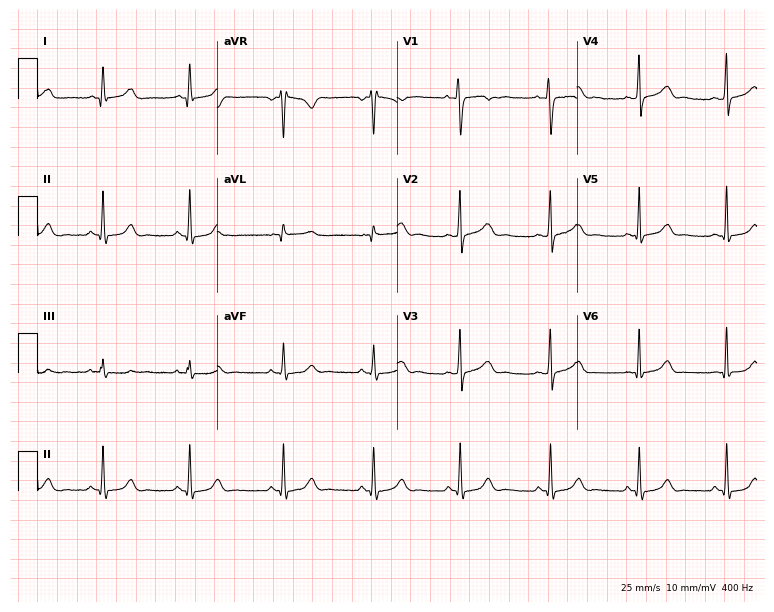
Electrocardiogram, a 21-year-old female patient. Of the six screened findings (first-degree AV block, right bundle branch block, left bundle branch block, sinus bradycardia, atrial fibrillation, sinus tachycardia), none is recorded.